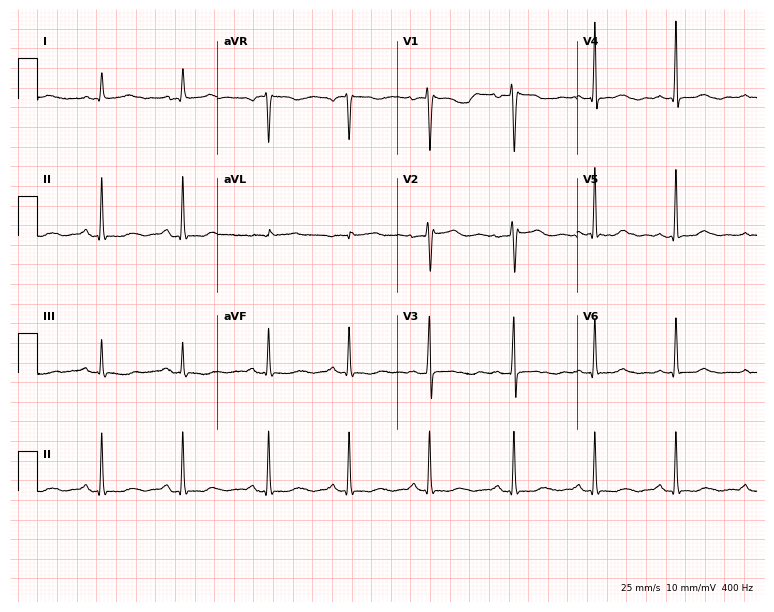
12-lead ECG (7.3-second recording at 400 Hz) from a female, 59 years old. Screened for six findings — first-degree AV block, right bundle branch block (RBBB), left bundle branch block (LBBB), sinus bradycardia, atrial fibrillation (AF), sinus tachycardia — none is recorded. Only these six findings were labelled.